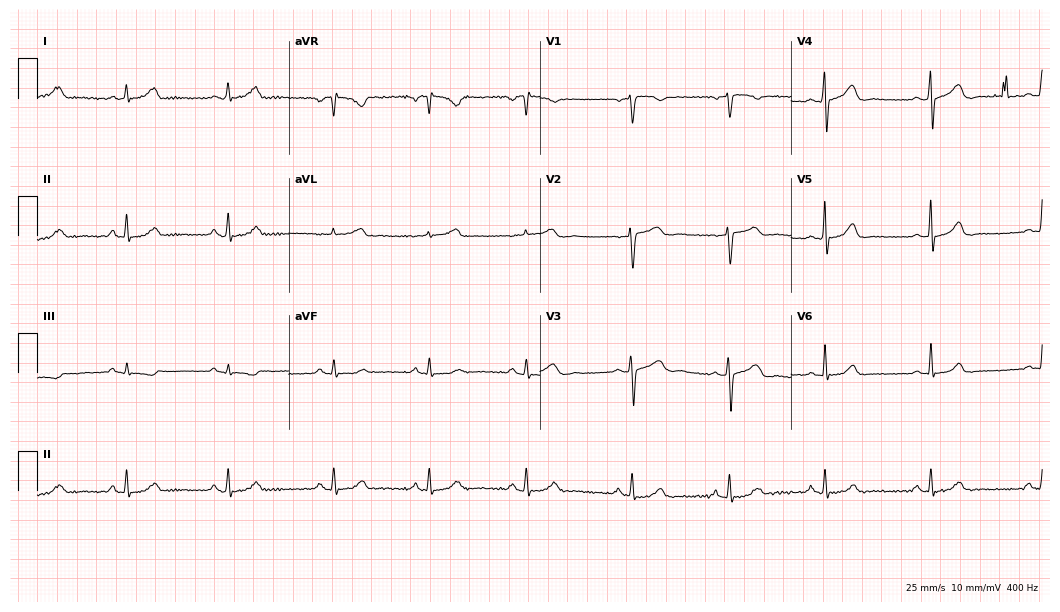
Electrocardiogram, a 45-year-old woman. Overall reading on record: normal ECG.